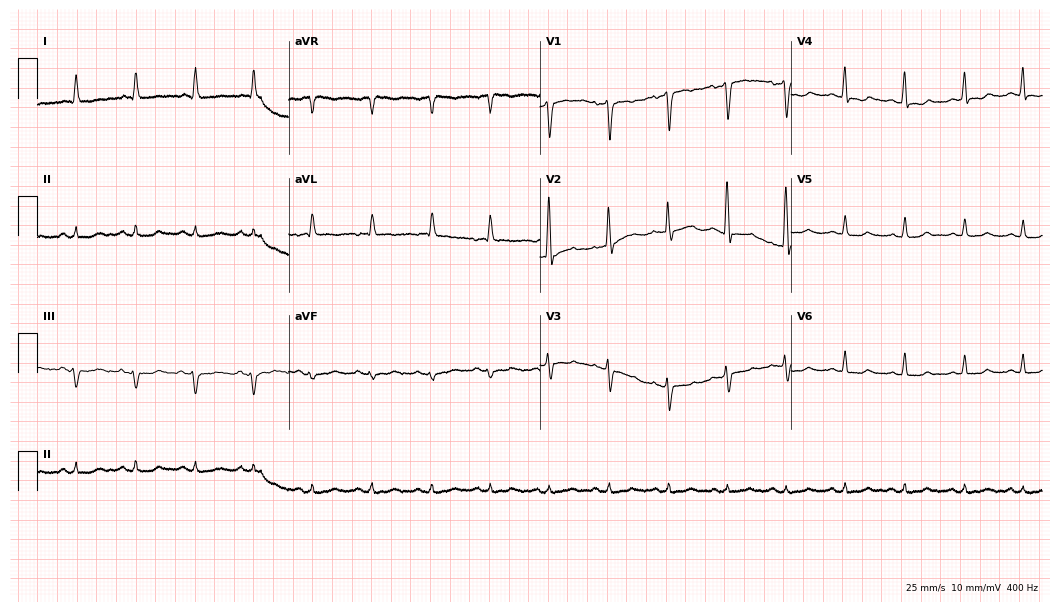
12-lead ECG from a female, 59 years old. No first-degree AV block, right bundle branch block, left bundle branch block, sinus bradycardia, atrial fibrillation or sinus tachycardia recorded for this tracing. Only these six findings were labelled.